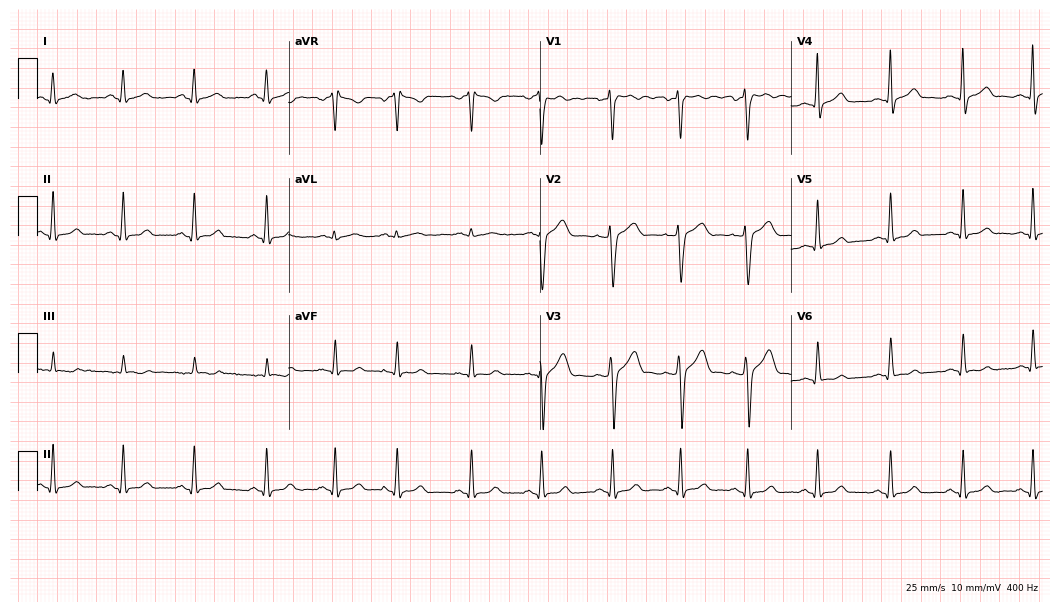
12-lead ECG from a 19-year-old man. Recorded interpretation: within normal limits.